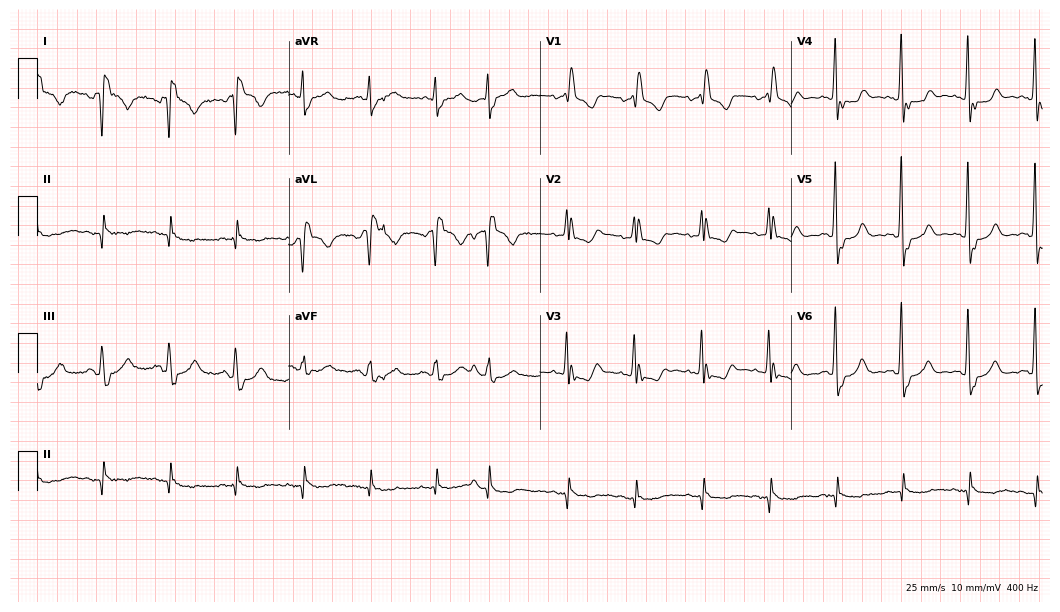
Standard 12-lead ECG recorded from an 84-year-old woman. None of these six findings is recorded: first-degree AV block, right bundle branch block, left bundle branch block, sinus bradycardia, atrial fibrillation, sinus tachycardia. Findings outside these six are not listed.